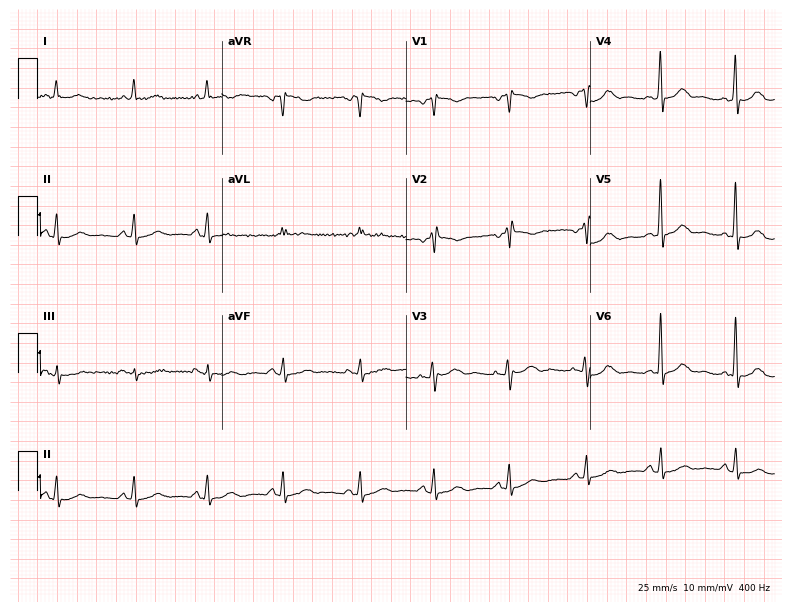
Electrocardiogram (7.5-second recording at 400 Hz), a male patient, 67 years old. Of the six screened findings (first-degree AV block, right bundle branch block (RBBB), left bundle branch block (LBBB), sinus bradycardia, atrial fibrillation (AF), sinus tachycardia), none is recorded. Only these six findings were labelled.